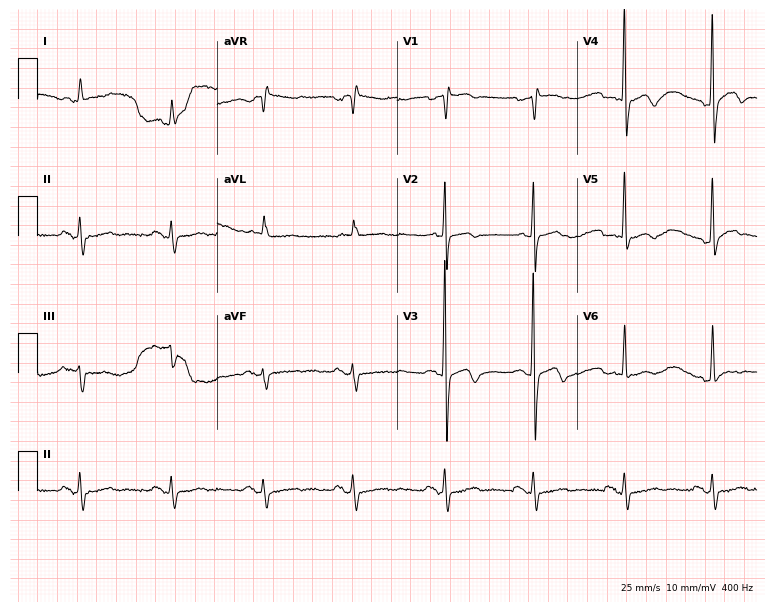
12-lead ECG from a male patient, 83 years old. Screened for six findings — first-degree AV block, right bundle branch block, left bundle branch block, sinus bradycardia, atrial fibrillation, sinus tachycardia — none is recorded.